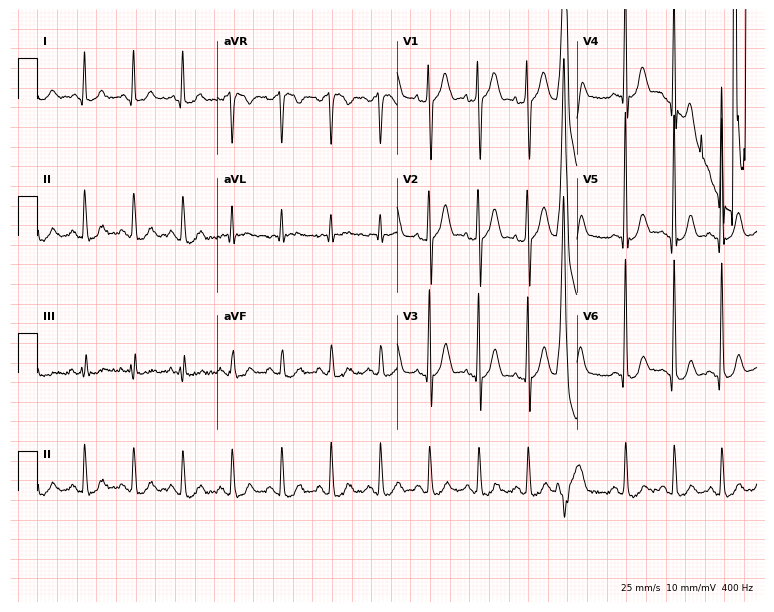
12-lead ECG (7.3-second recording at 400 Hz) from a male patient, 63 years old. Findings include sinus tachycardia (a sinus rate of 100 beats per minute or more).